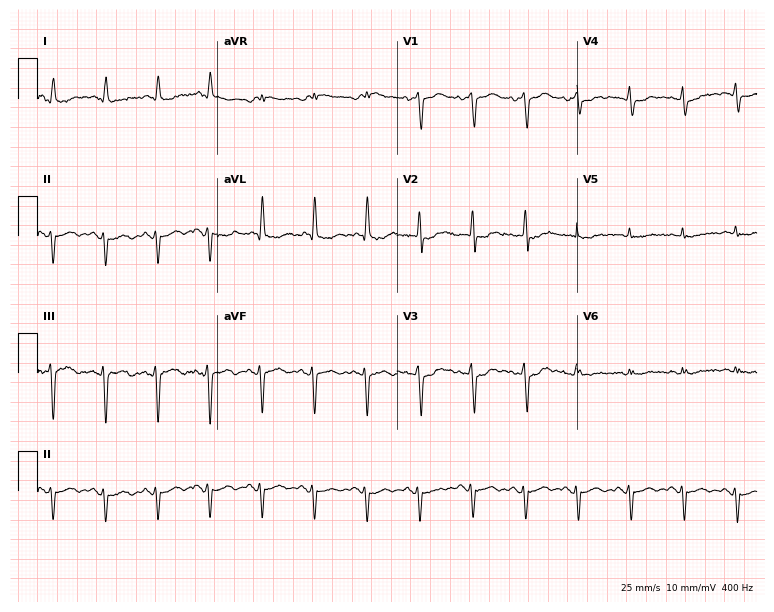
12-lead ECG from a male patient, 63 years old (7.3-second recording at 400 Hz). Shows sinus tachycardia (a sinus rate of 100 beats per minute or more).